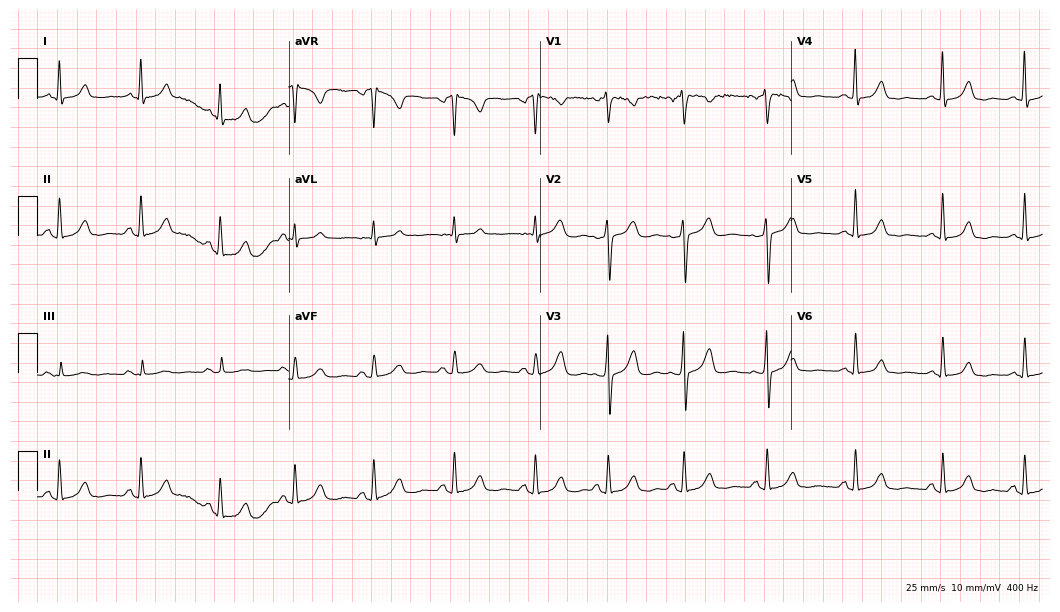
Electrocardiogram, a female, 34 years old. Overall reading on record: normal ECG.